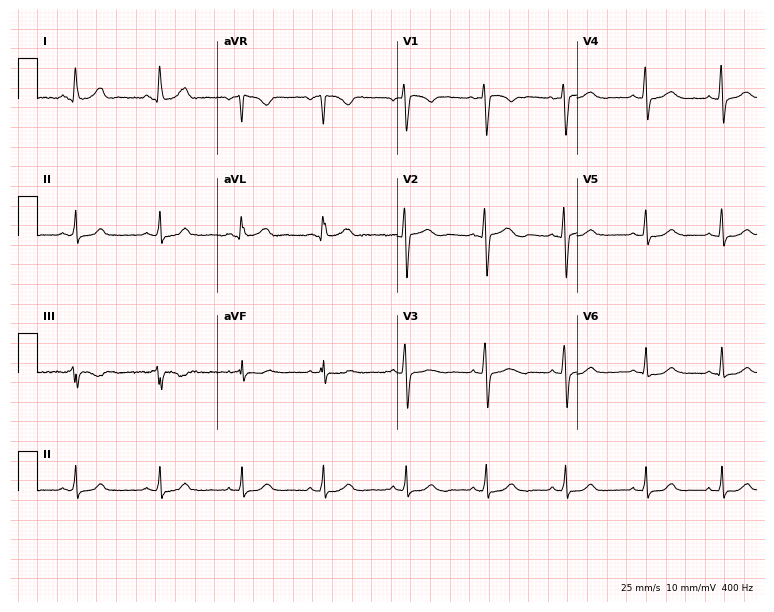
12-lead ECG from a 44-year-old woman. Labelled as a normal ECG.